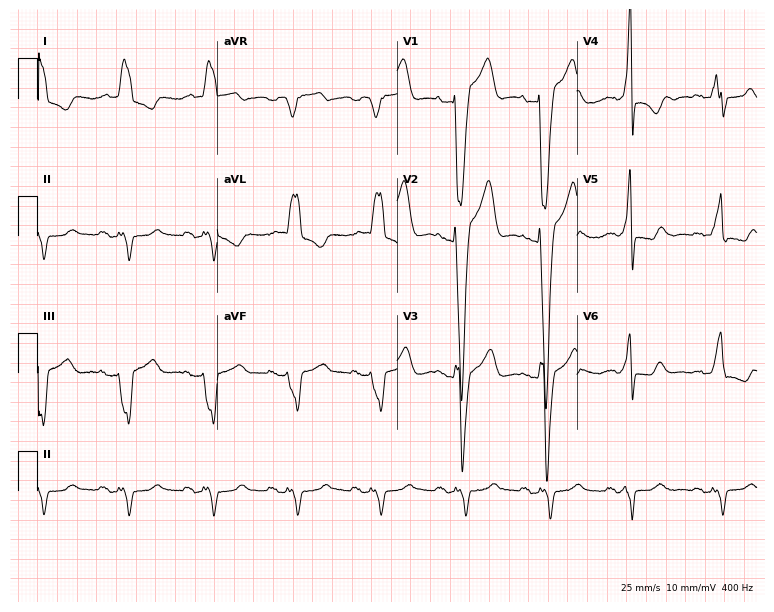
Electrocardiogram, an 84-year-old man. Interpretation includes left bundle branch block.